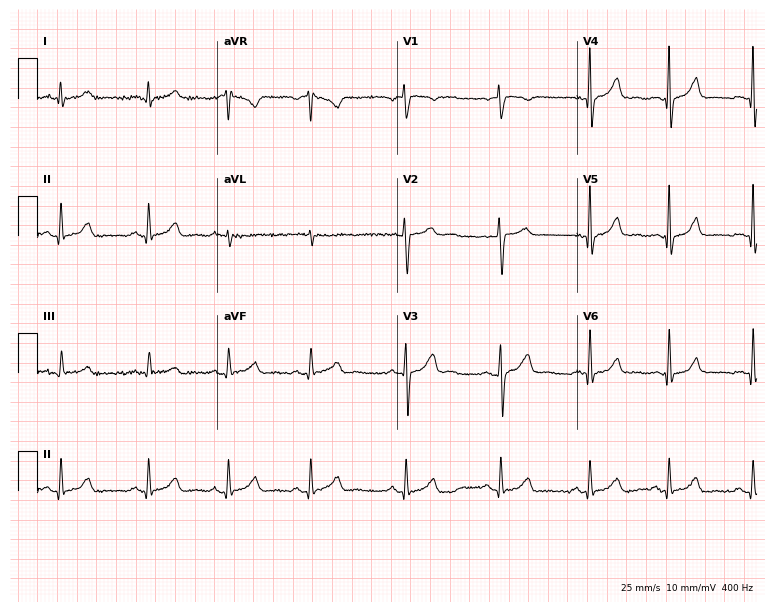
Electrocardiogram (7.3-second recording at 400 Hz), a male patient, 31 years old. Overall reading on record: normal ECG.